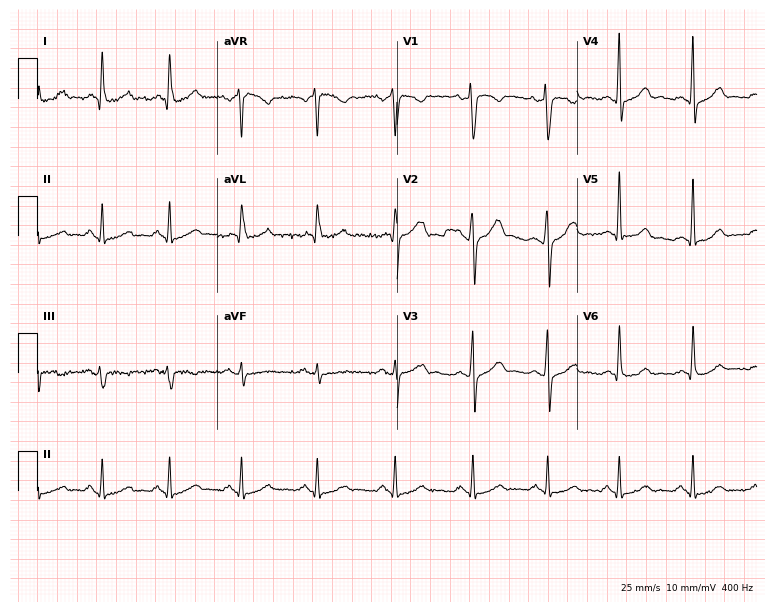
Electrocardiogram (7.3-second recording at 400 Hz), a man, 40 years old. Overall reading on record: normal ECG.